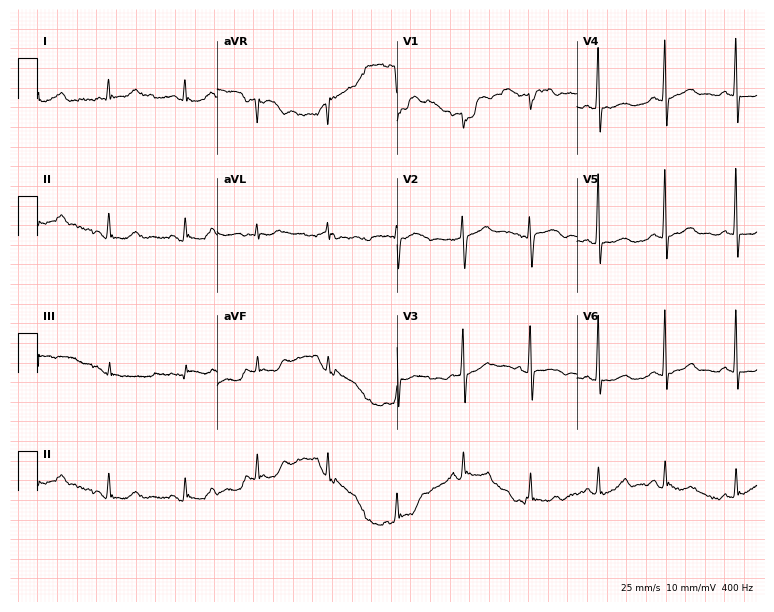
Resting 12-lead electrocardiogram. Patient: a female, 54 years old. None of these six findings is recorded: first-degree AV block, right bundle branch block, left bundle branch block, sinus bradycardia, atrial fibrillation, sinus tachycardia.